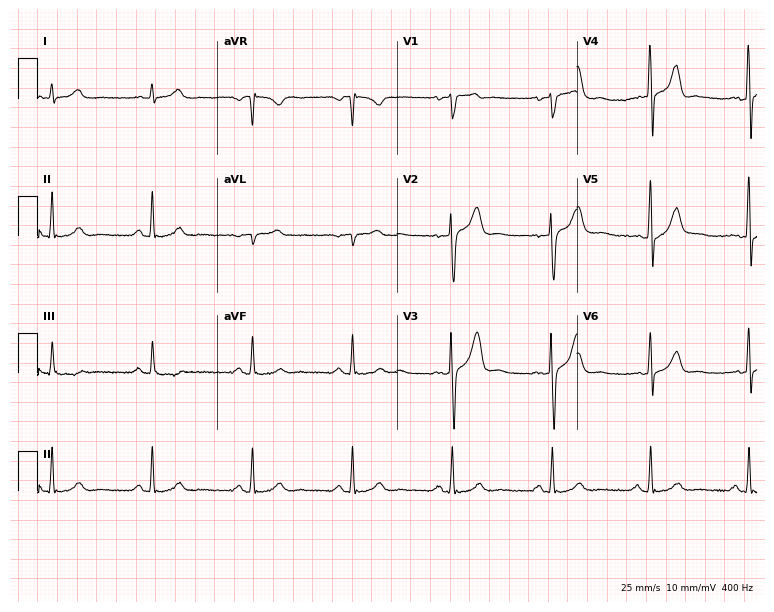
Standard 12-lead ECG recorded from a man, 32 years old. Read as a normal ECG.